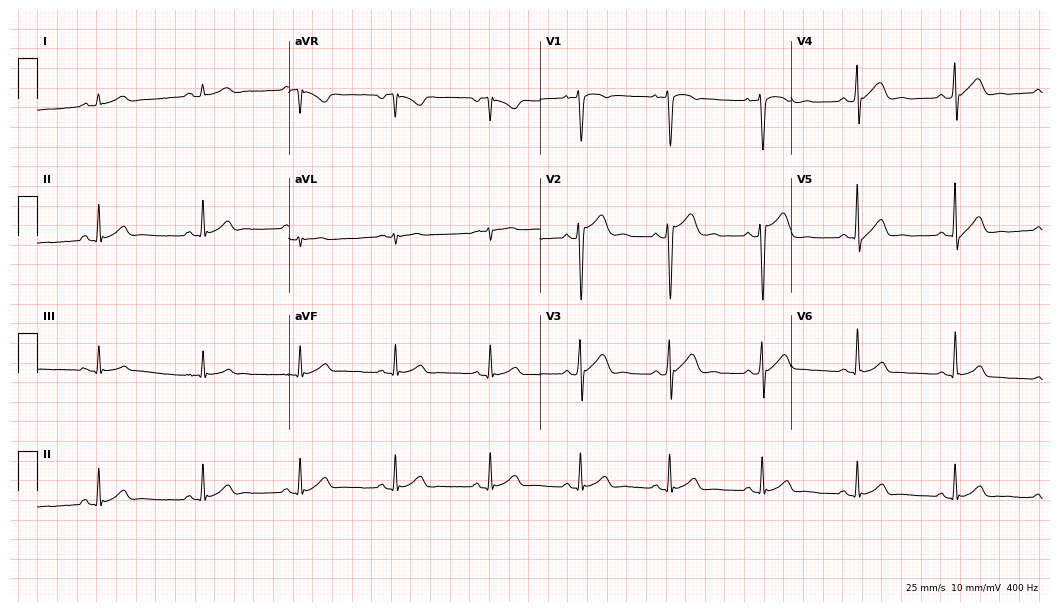
Resting 12-lead electrocardiogram. Patient: a male, 22 years old. Read as a normal ECG.